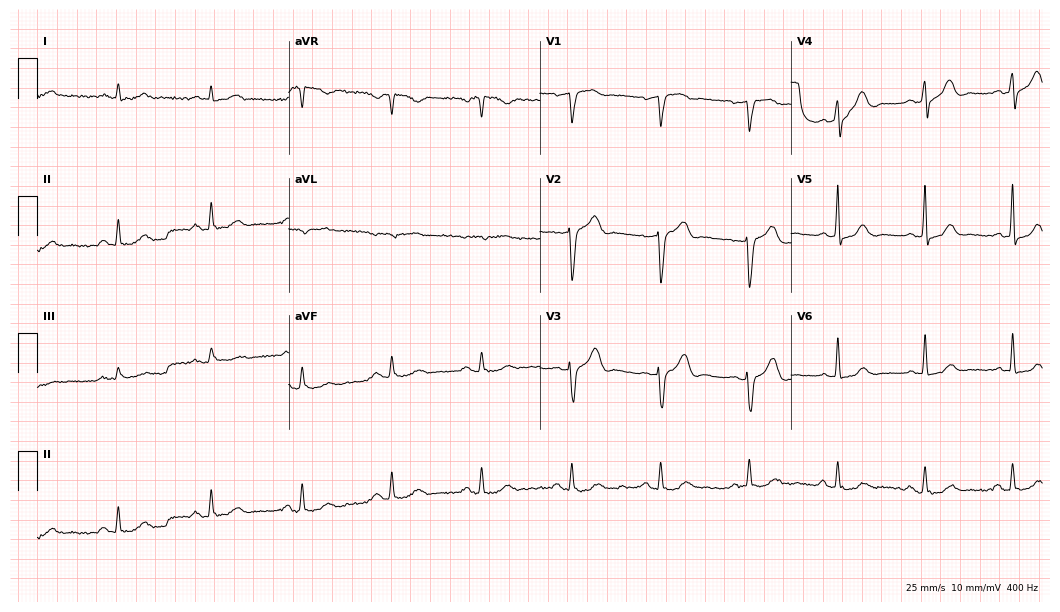
Electrocardiogram, a man, 66 years old. Of the six screened findings (first-degree AV block, right bundle branch block, left bundle branch block, sinus bradycardia, atrial fibrillation, sinus tachycardia), none is recorded.